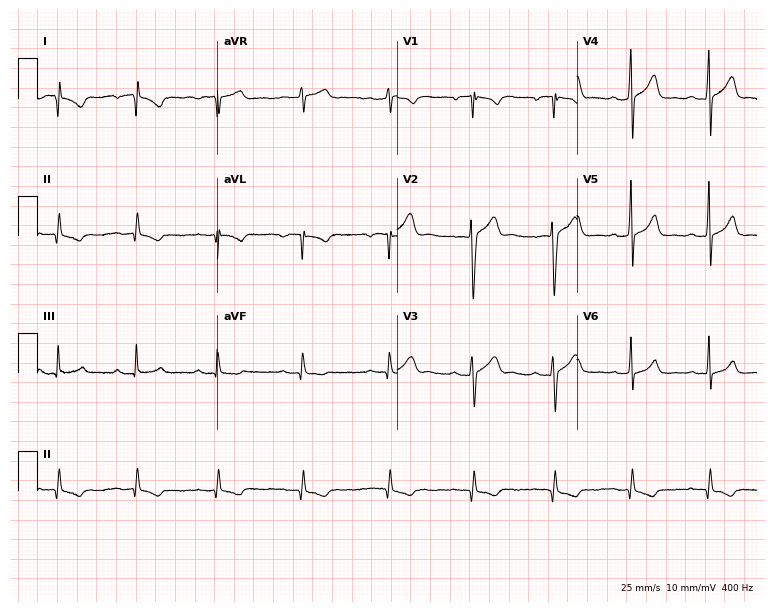
12-lead ECG (7.3-second recording at 400 Hz) from a 26-year-old man. Screened for six findings — first-degree AV block, right bundle branch block, left bundle branch block, sinus bradycardia, atrial fibrillation, sinus tachycardia — none is recorded.